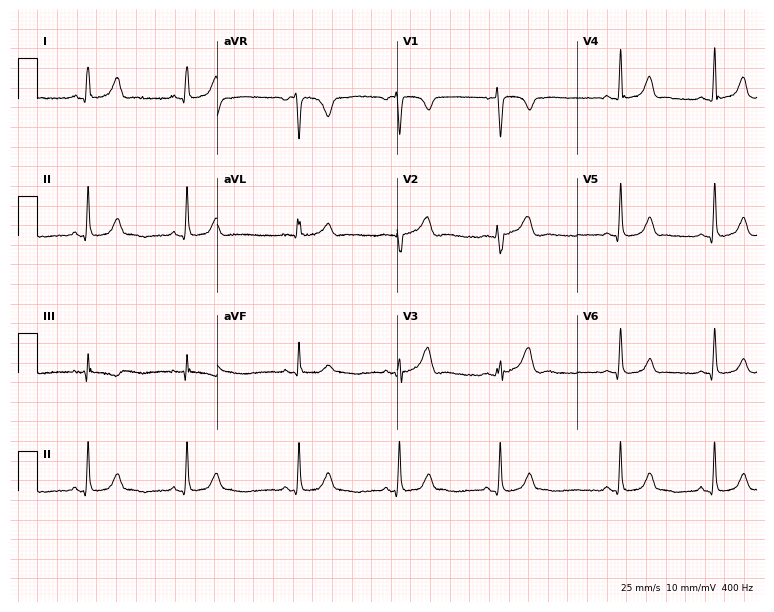
Resting 12-lead electrocardiogram. Patient: a 25-year-old woman. Read as a normal ECG.